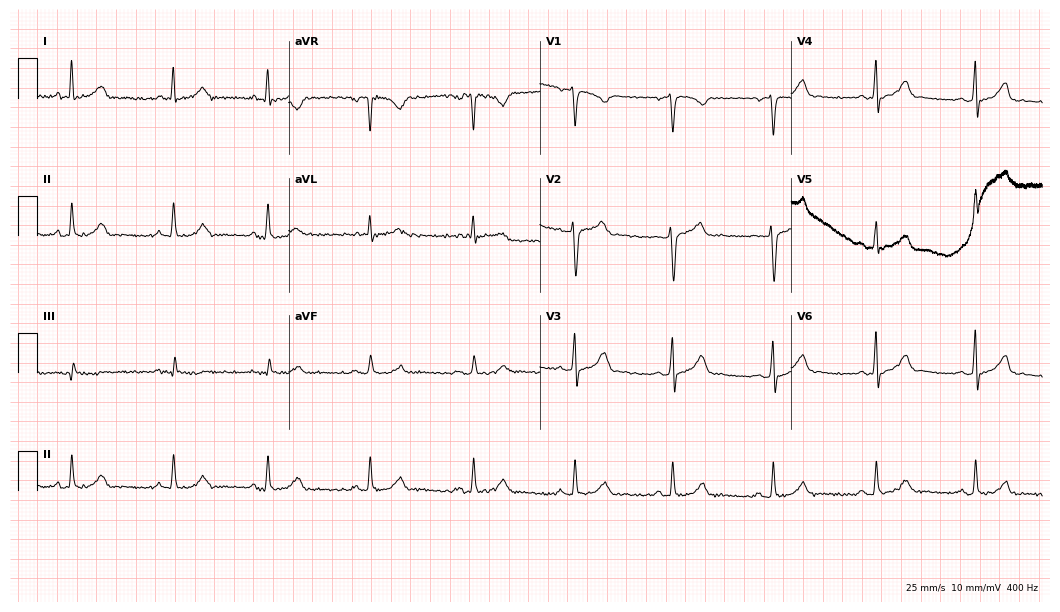
12-lead ECG from a man, 40 years old (10.2-second recording at 400 Hz). Recorded interpretation: within normal limits.